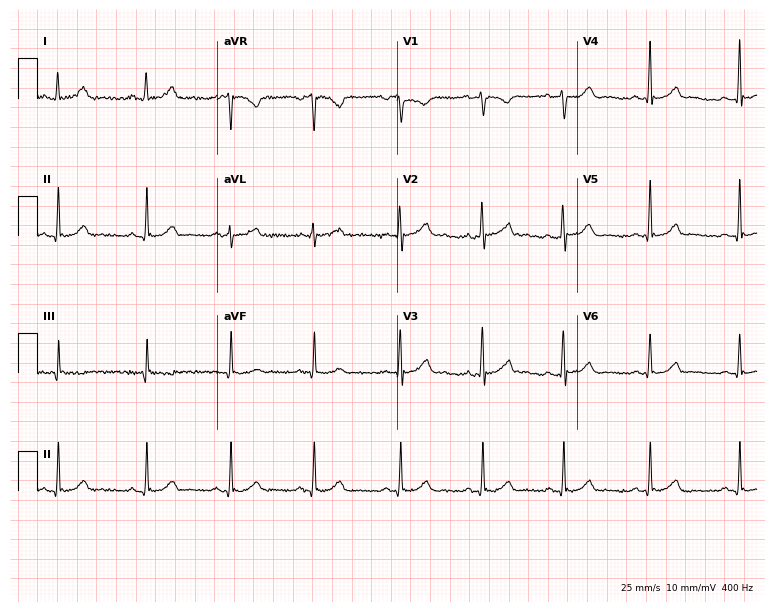
Electrocardiogram (7.3-second recording at 400 Hz), a woman, 35 years old. Overall reading on record: normal ECG.